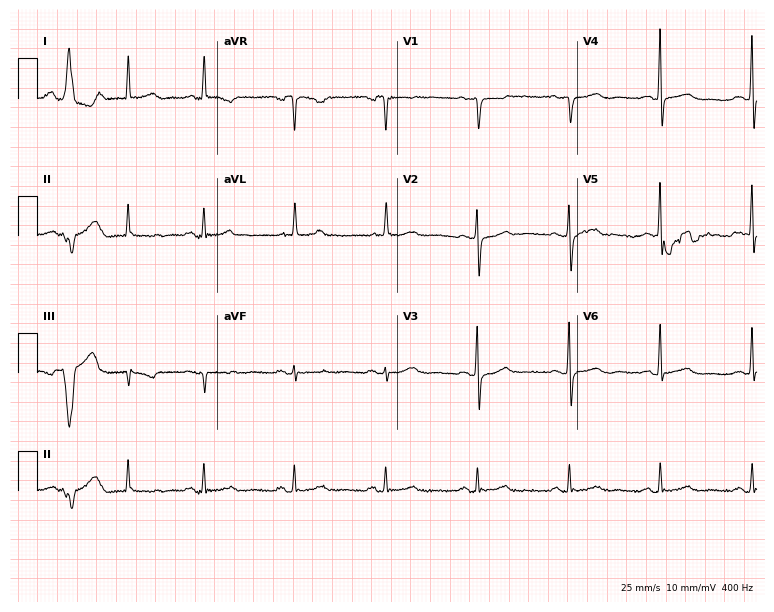
ECG — a female, 80 years old. Screened for six findings — first-degree AV block, right bundle branch block (RBBB), left bundle branch block (LBBB), sinus bradycardia, atrial fibrillation (AF), sinus tachycardia — none is recorded. Only these six findings were labelled.